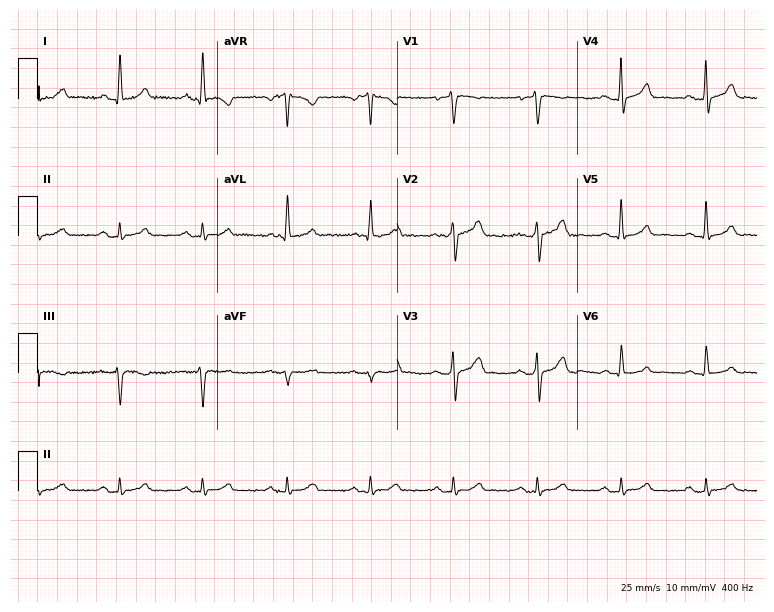
Standard 12-lead ECG recorded from a man, 61 years old. Read as a normal ECG.